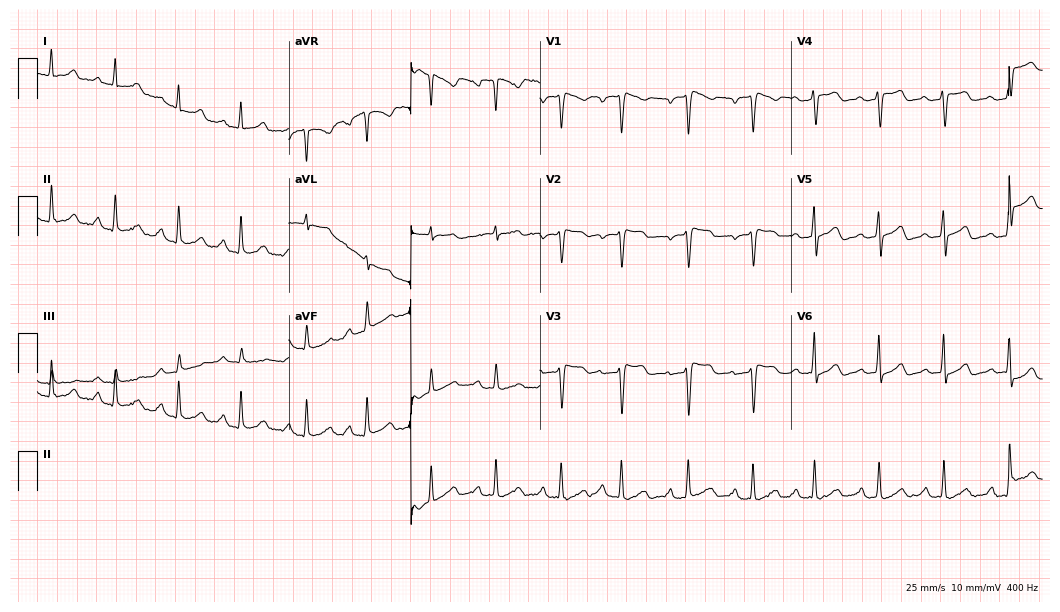
ECG — a woman, 36 years old. Screened for six findings — first-degree AV block, right bundle branch block (RBBB), left bundle branch block (LBBB), sinus bradycardia, atrial fibrillation (AF), sinus tachycardia — none is recorded. Findings outside these six are not listed.